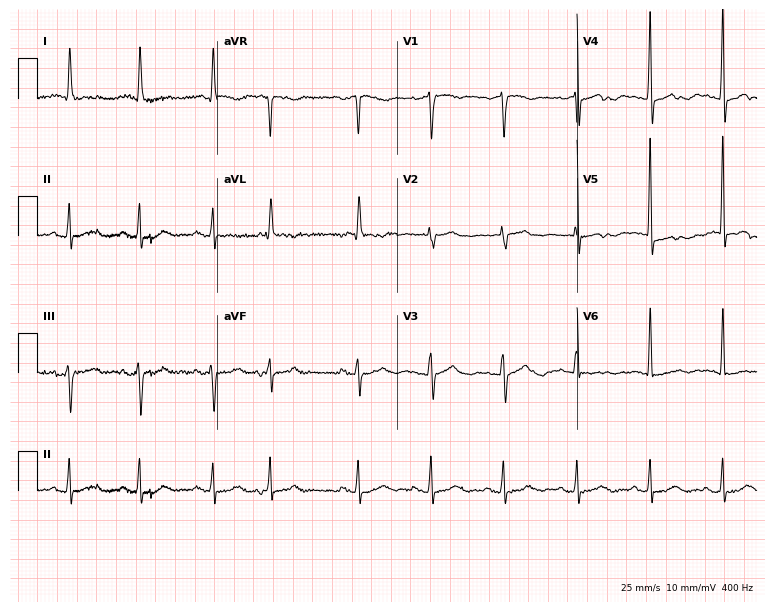
ECG — a female patient, 83 years old. Screened for six findings — first-degree AV block, right bundle branch block (RBBB), left bundle branch block (LBBB), sinus bradycardia, atrial fibrillation (AF), sinus tachycardia — none is recorded. Only these six findings were labelled.